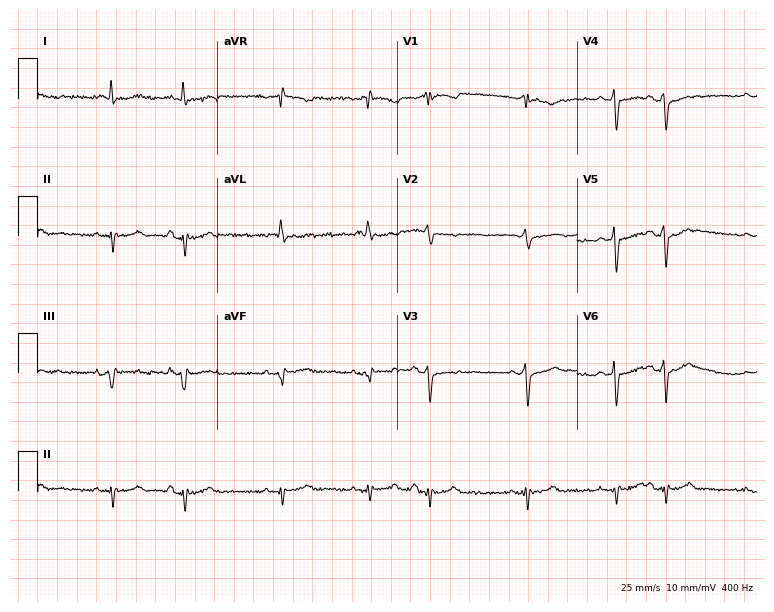
Standard 12-lead ECG recorded from a 79-year-old male patient. None of these six findings is recorded: first-degree AV block, right bundle branch block (RBBB), left bundle branch block (LBBB), sinus bradycardia, atrial fibrillation (AF), sinus tachycardia. Other findings, if any, are not listed.